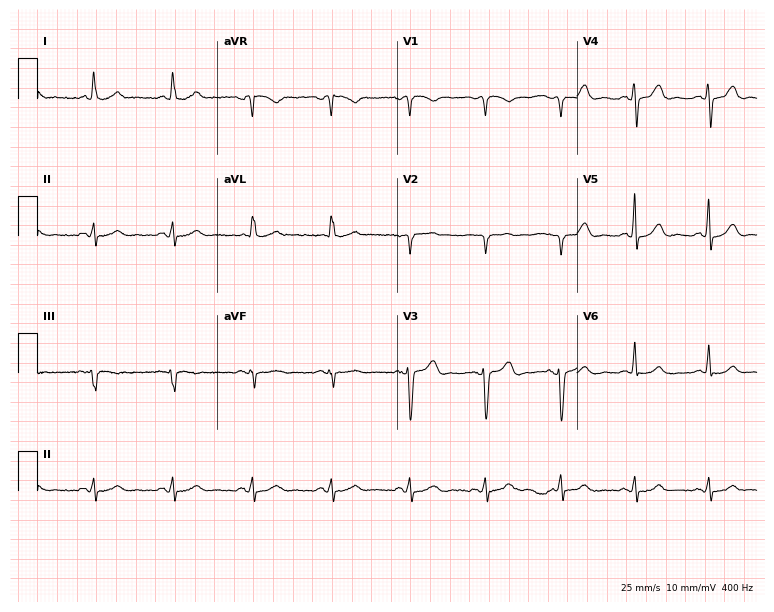
Electrocardiogram (7.3-second recording at 400 Hz), a male, 73 years old. Overall reading on record: normal ECG.